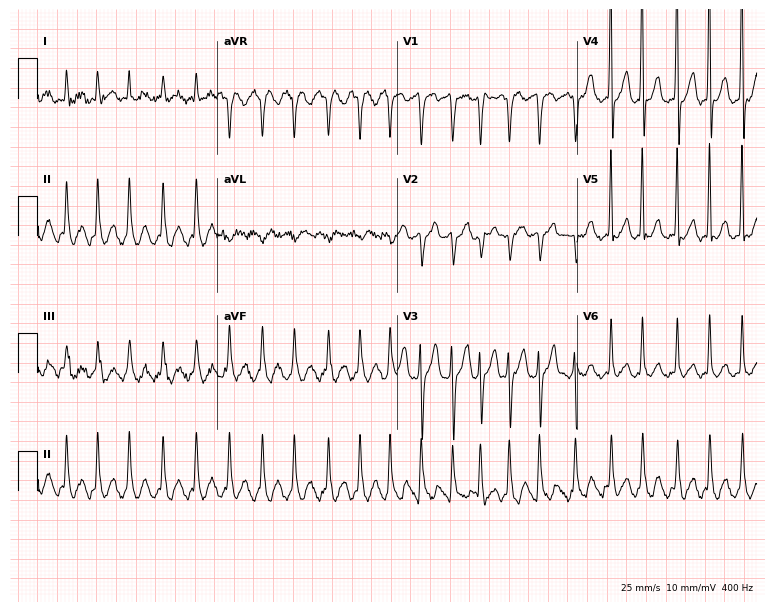
12-lead ECG from a 49-year-old male (7.3-second recording at 400 Hz). Shows atrial fibrillation.